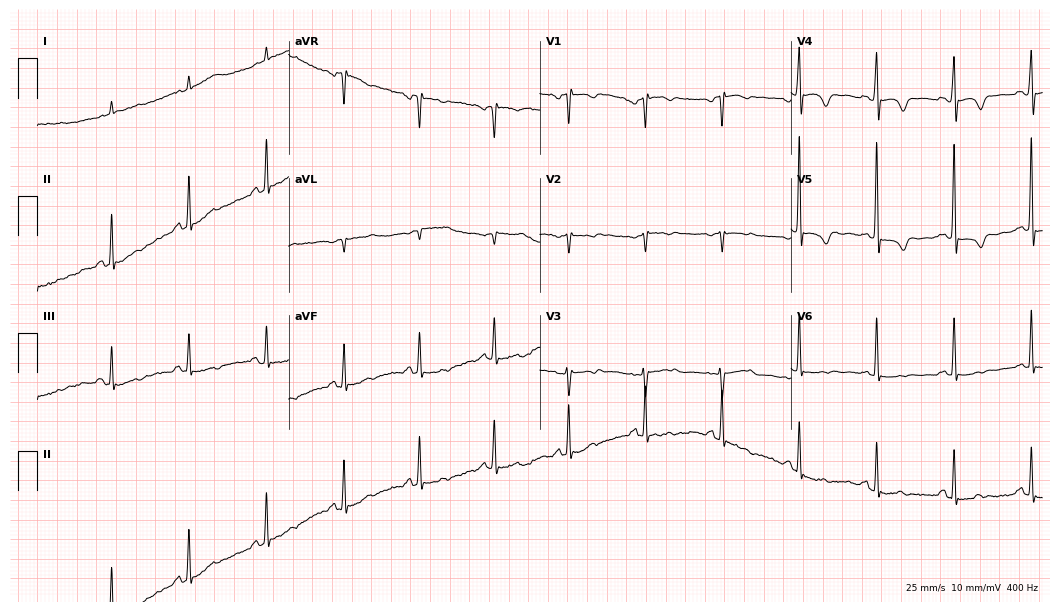
Electrocardiogram, a 79-year-old female patient. Of the six screened findings (first-degree AV block, right bundle branch block, left bundle branch block, sinus bradycardia, atrial fibrillation, sinus tachycardia), none is recorded.